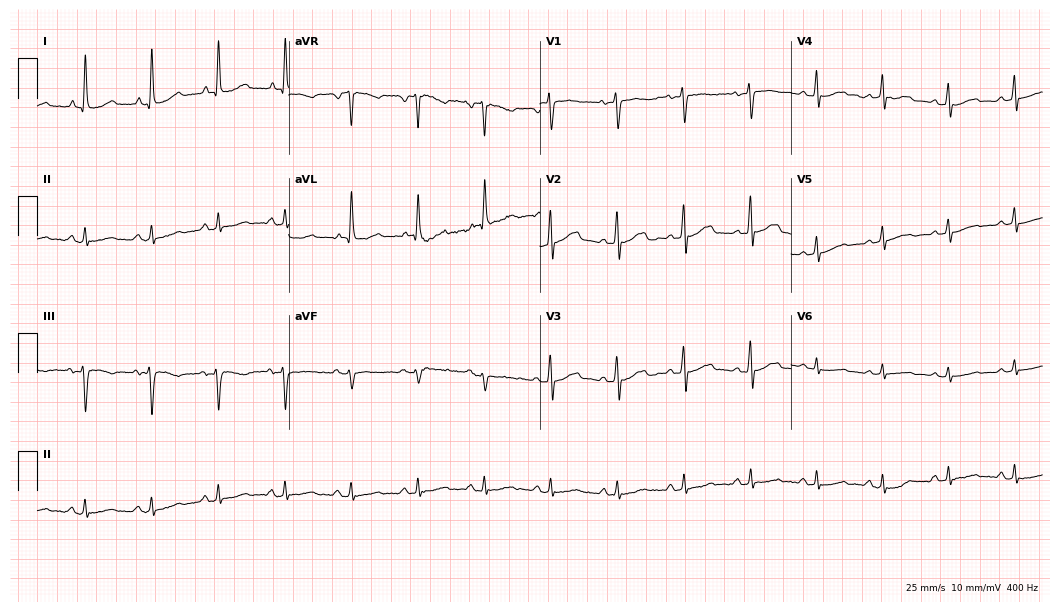
ECG (10.2-second recording at 400 Hz) — a 63-year-old female. Labelled as a normal ECG.